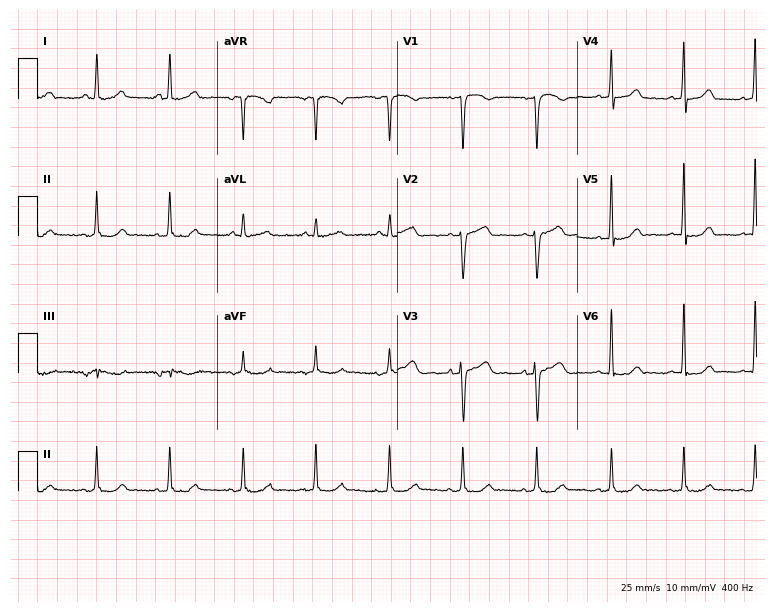
ECG — a woman, 55 years old. Labelled as a normal ECG.